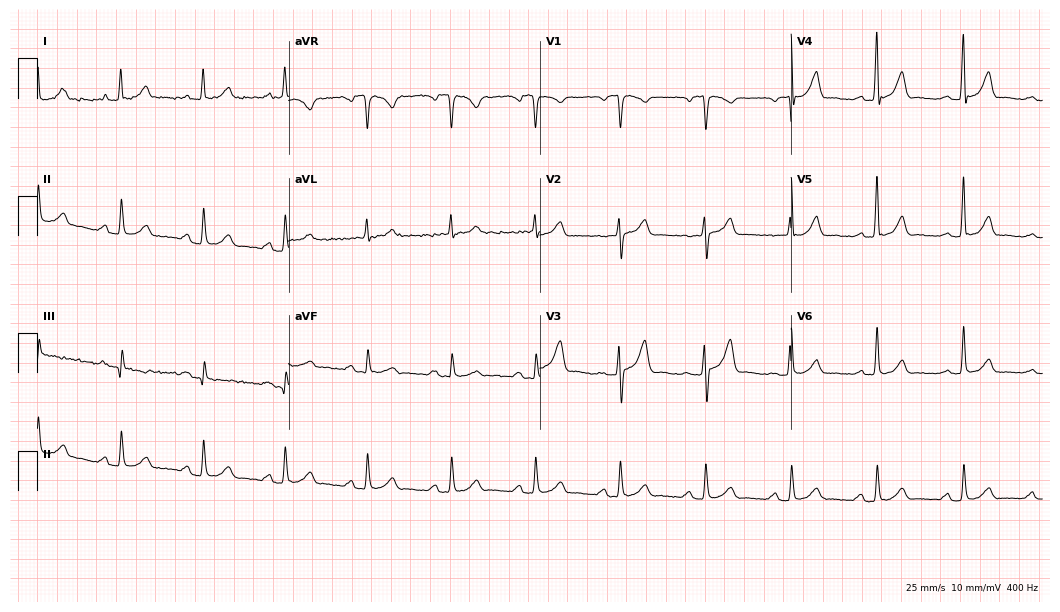
Standard 12-lead ECG recorded from a 43-year-old man (10.2-second recording at 400 Hz). None of these six findings is recorded: first-degree AV block, right bundle branch block (RBBB), left bundle branch block (LBBB), sinus bradycardia, atrial fibrillation (AF), sinus tachycardia.